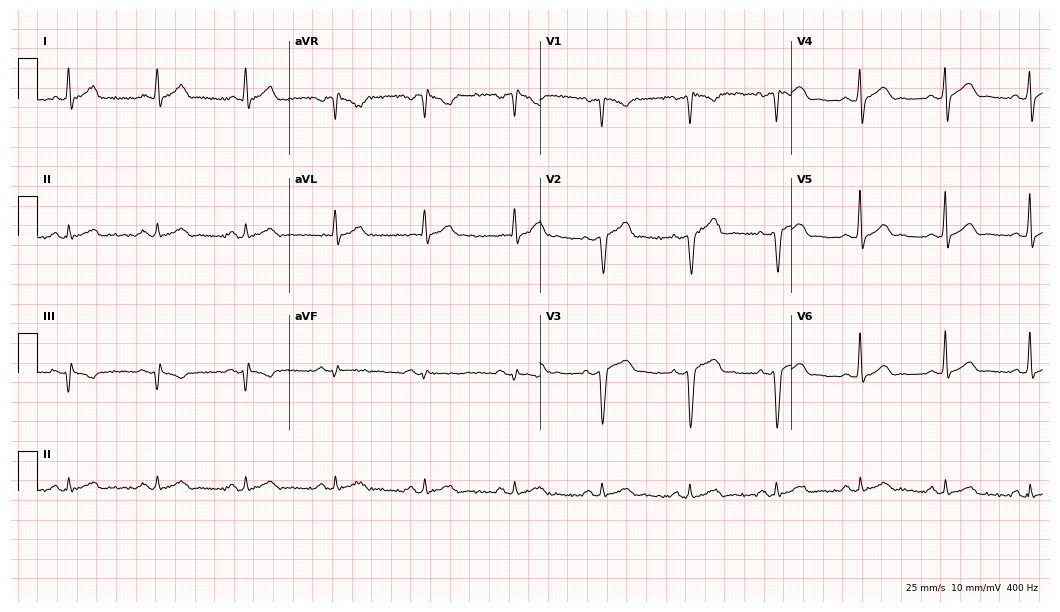
12-lead ECG from a 53-year-old man. Screened for six findings — first-degree AV block, right bundle branch block, left bundle branch block, sinus bradycardia, atrial fibrillation, sinus tachycardia — none is recorded.